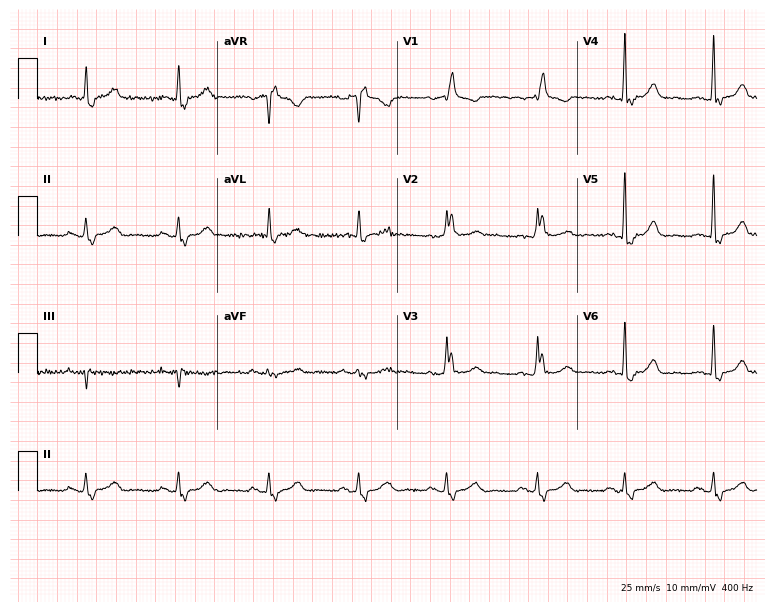
Electrocardiogram (7.3-second recording at 400 Hz), a 59-year-old female patient. Interpretation includes right bundle branch block (RBBB).